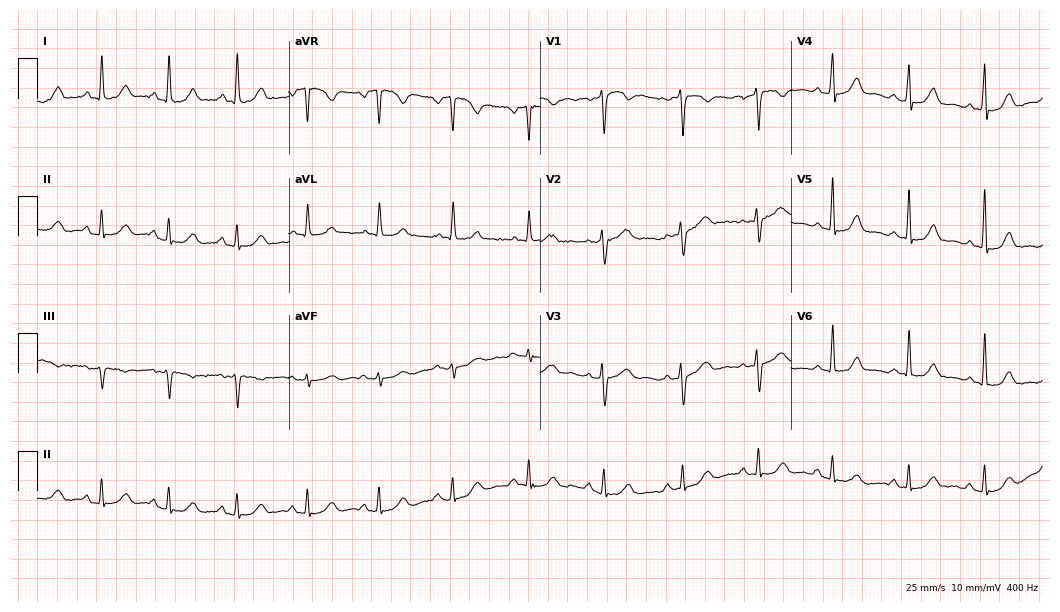
12-lead ECG from a female, 59 years old (10.2-second recording at 400 Hz). Recorded interpretation: within normal limits.